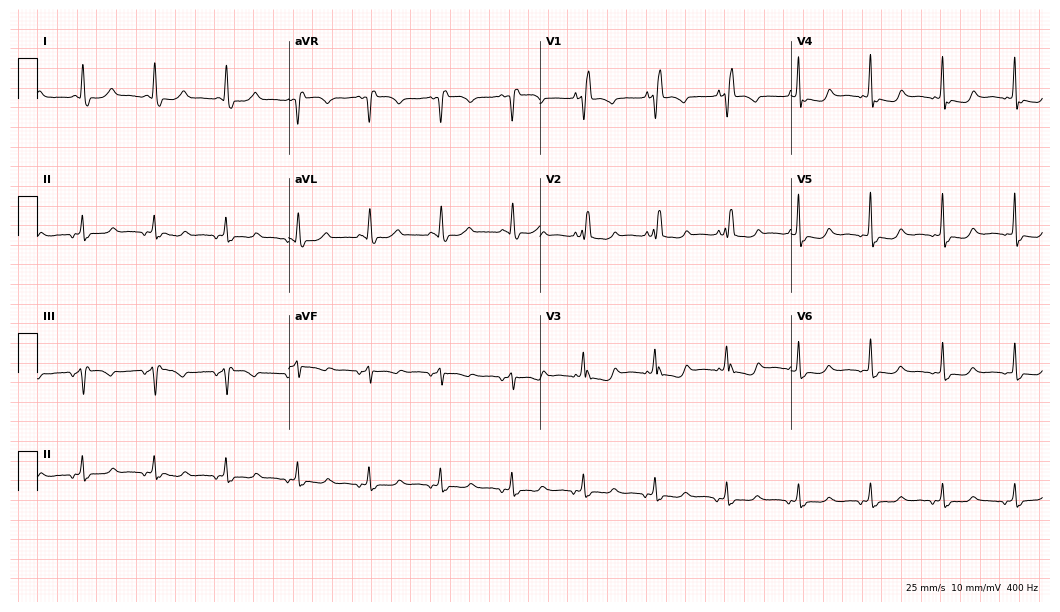
ECG (10.2-second recording at 400 Hz) — a 58-year-old woman. Screened for six findings — first-degree AV block, right bundle branch block (RBBB), left bundle branch block (LBBB), sinus bradycardia, atrial fibrillation (AF), sinus tachycardia — none is recorded.